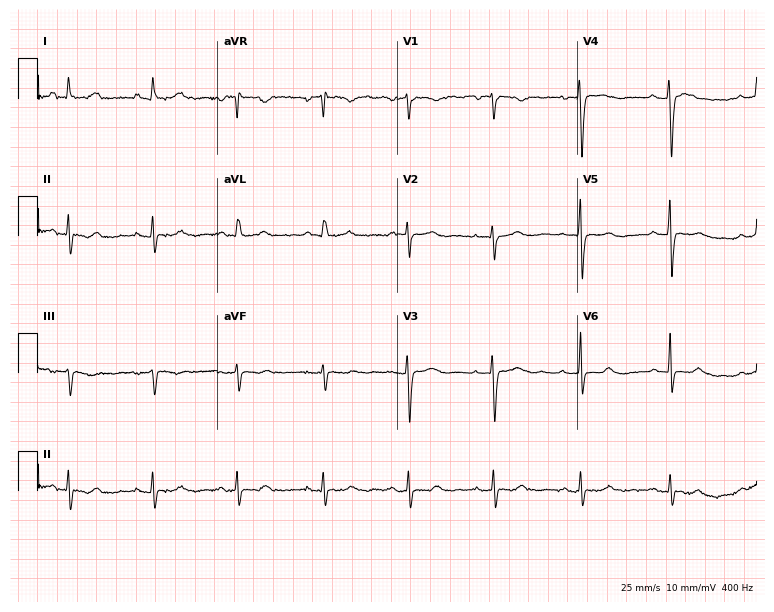
12-lead ECG from a female patient, 52 years old (7.3-second recording at 400 Hz). No first-degree AV block, right bundle branch block, left bundle branch block, sinus bradycardia, atrial fibrillation or sinus tachycardia recorded for this tracing. Findings outside these six are not listed.